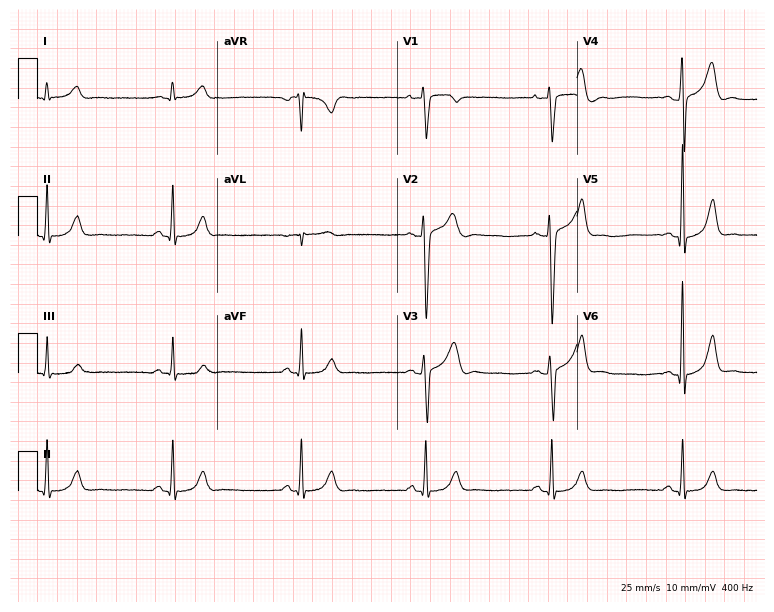
Electrocardiogram, a 32-year-old male. Interpretation includes sinus bradycardia (a sinus rate of 50 beats per minute or less).